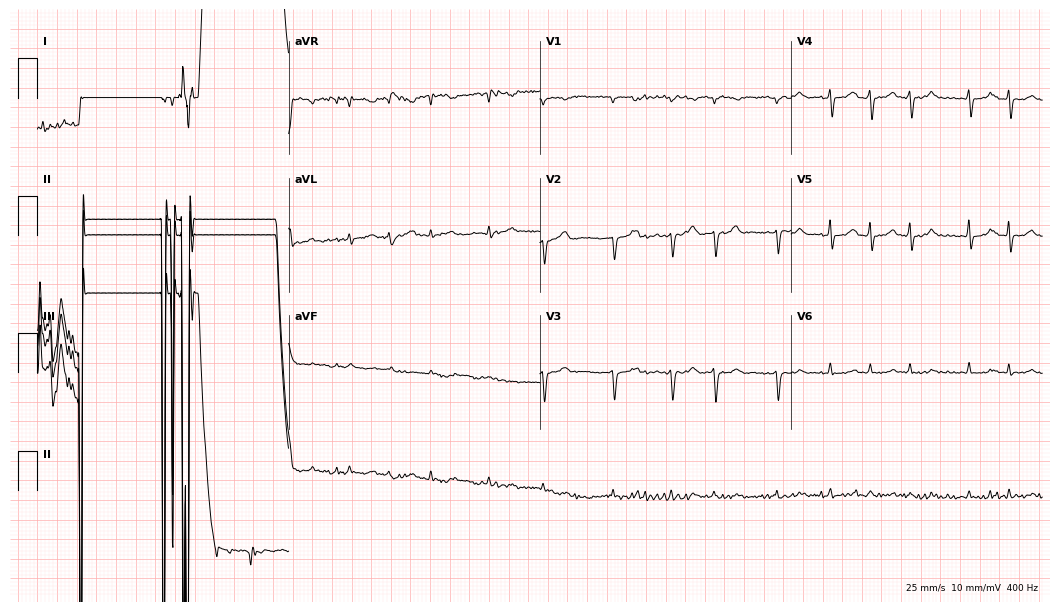
Electrocardiogram, a female, 81 years old. Of the six screened findings (first-degree AV block, right bundle branch block, left bundle branch block, sinus bradycardia, atrial fibrillation, sinus tachycardia), none is recorded. Only these six findings were labelled.